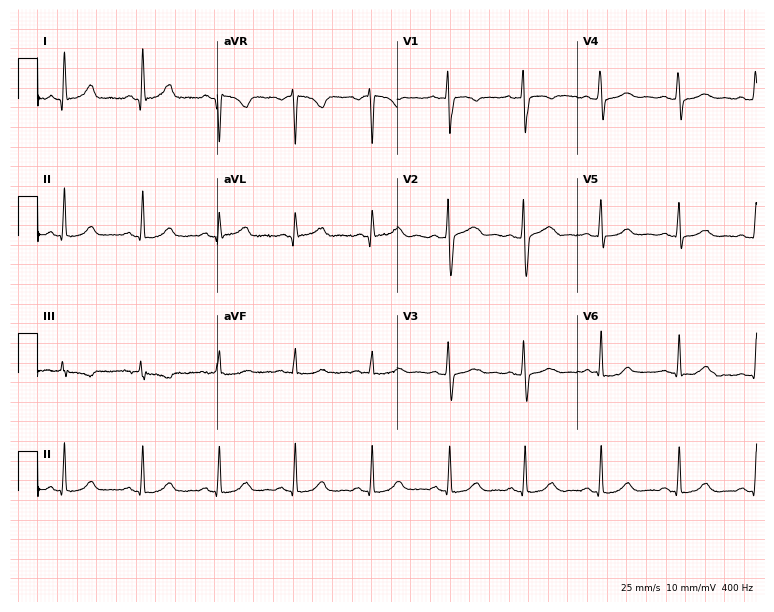
12-lead ECG from a female, 42 years old. Recorded interpretation: within normal limits.